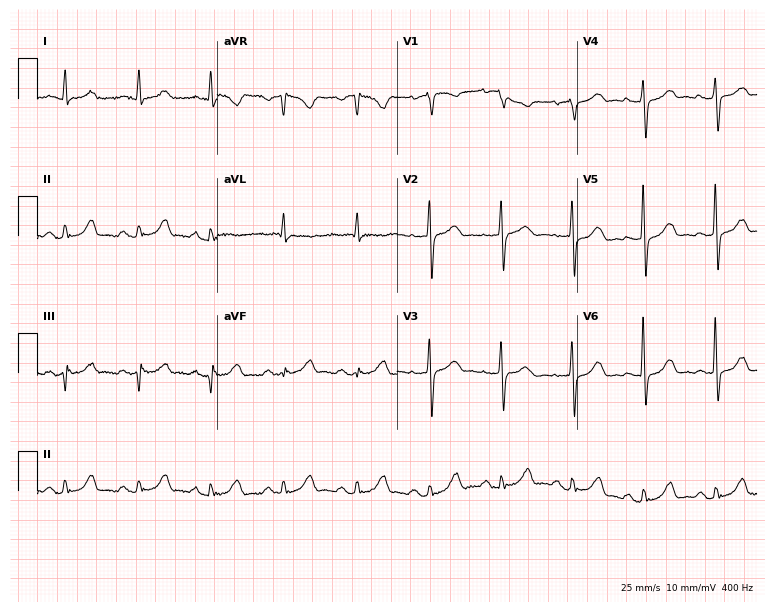
Electrocardiogram (7.3-second recording at 400 Hz), a female, 79 years old. Overall reading on record: normal ECG.